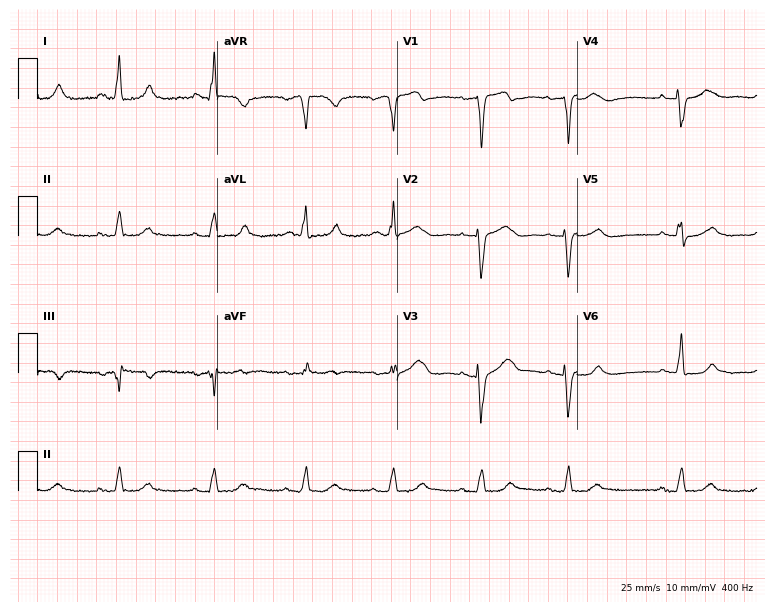
Standard 12-lead ECG recorded from a woman, 84 years old (7.3-second recording at 400 Hz). None of these six findings is recorded: first-degree AV block, right bundle branch block, left bundle branch block, sinus bradycardia, atrial fibrillation, sinus tachycardia. Only these six findings were labelled.